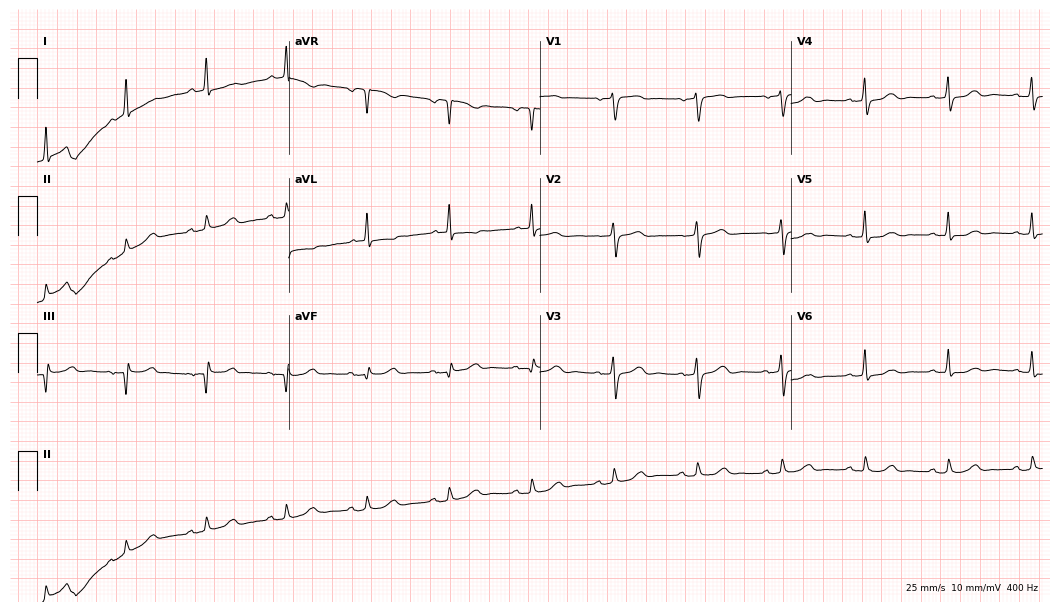
12-lead ECG from a woman, 71 years old (10.2-second recording at 400 Hz). No first-degree AV block, right bundle branch block (RBBB), left bundle branch block (LBBB), sinus bradycardia, atrial fibrillation (AF) or sinus tachycardia recorded for this tracing.